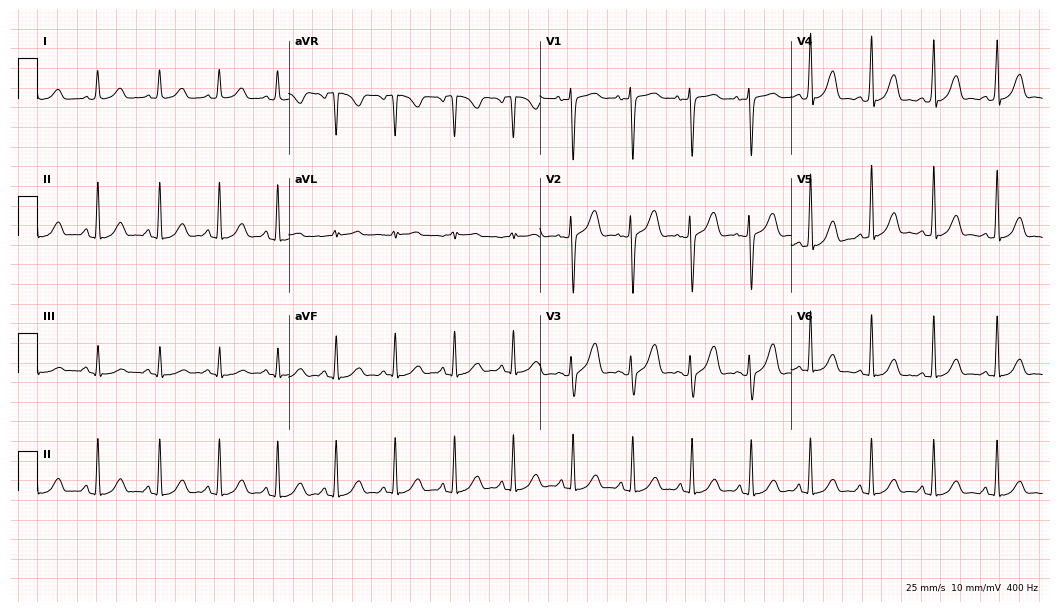
12-lead ECG from a 32-year-old female patient. Labelled as a normal ECG.